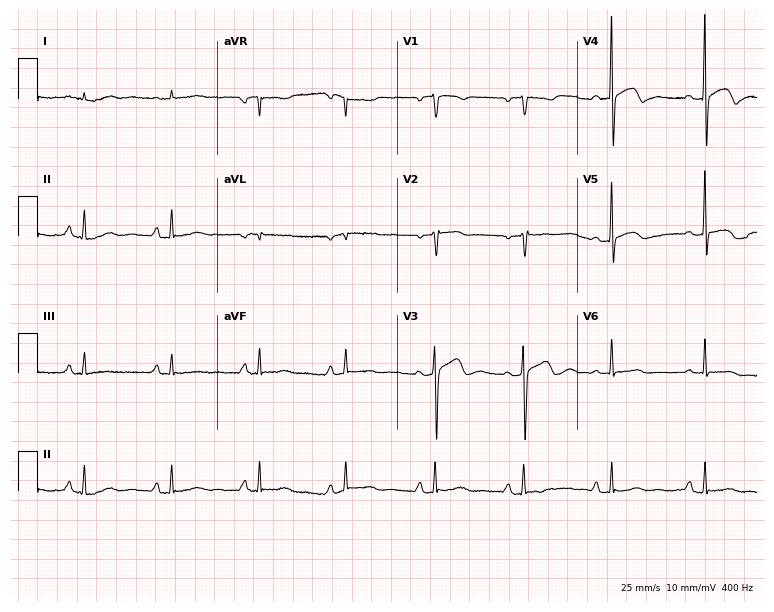
Electrocardiogram (7.3-second recording at 400 Hz), a female patient, 79 years old. Of the six screened findings (first-degree AV block, right bundle branch block, left bundle branch block, sinus bradycardia, atrial fibrillation, sinus tachycardia), none is recorded.